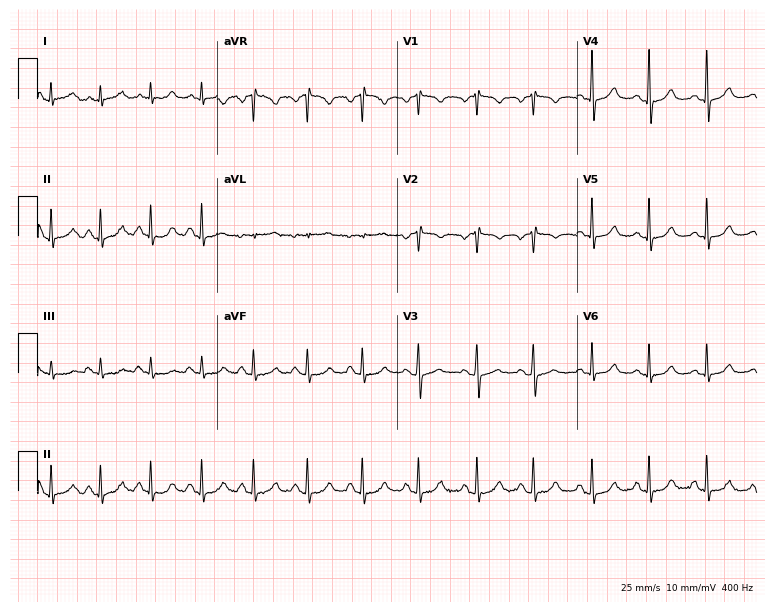
Standard 12-lead ECG recorded from a female, 53 years old. The tracing shows sinus tachycardia (a sinus rate of 100 beats per minute or more).